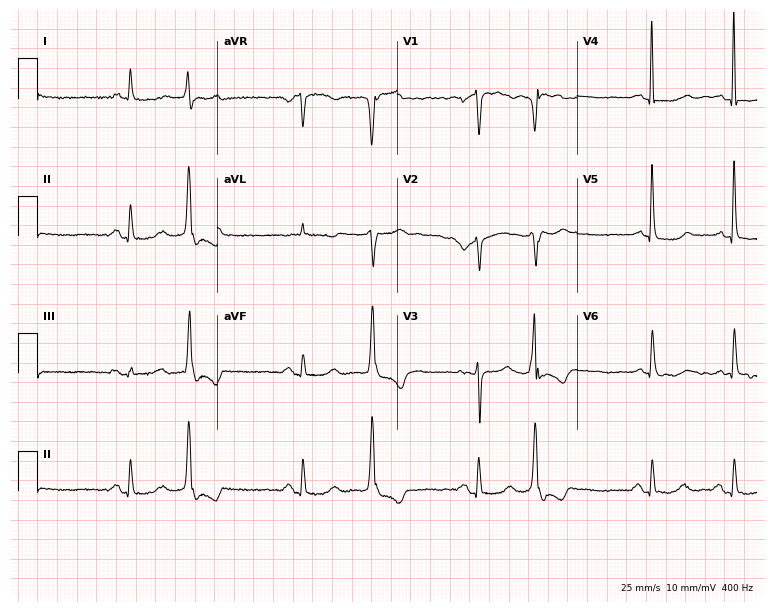
Resting 12-lead electrocardiogram. Patient: a 25-year-old woman. None of these six findings is recorded: first-degree AV block, right bundle branch block, left bundle branch block, sinus bradycardia, atrial fibrillation, sinus tachycardia. Only these six findings were labelled.